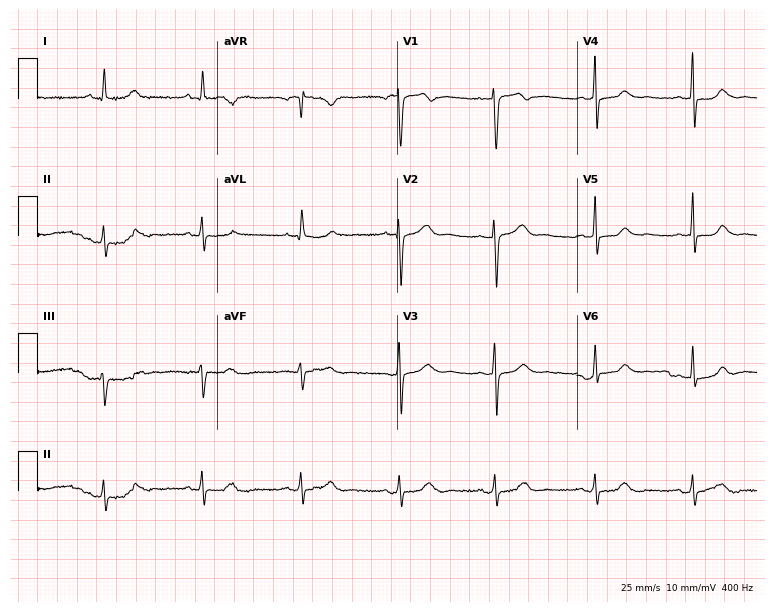
Electrocardiogram, a female, 40 years old. Of the six screened findings (first-degree AV block, right bundle branch block, left bundle branch block, sinus bradycardia, atrial fibrillation, sinus tachycardia), none is recorded. Other findings, if any, are not listed.